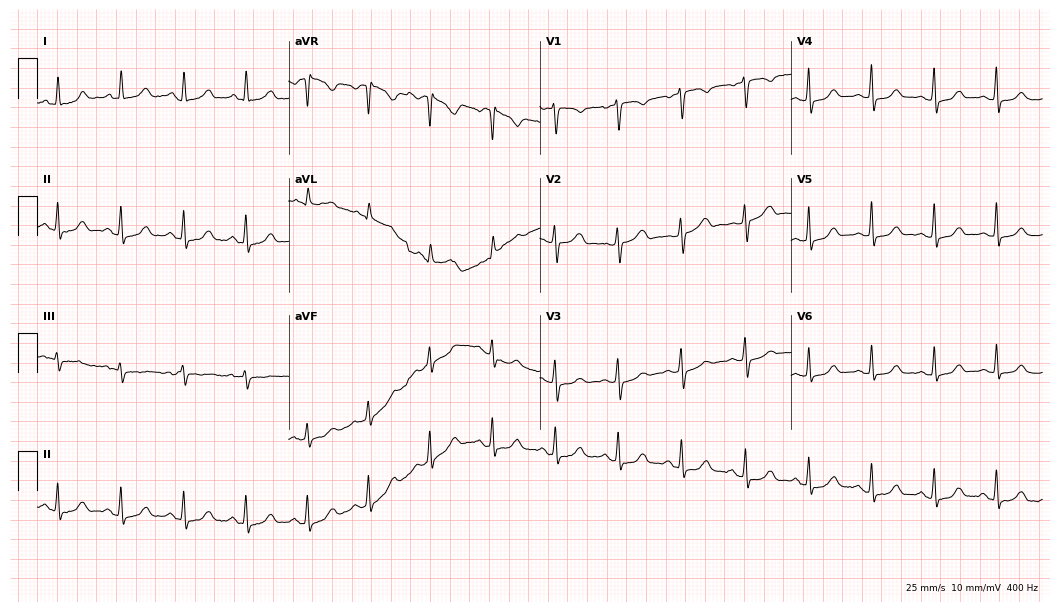
12-lead ECG from a 45-year-old female (10.2-second recording at 400 Hz). Recorded interpretation: within normal limits.